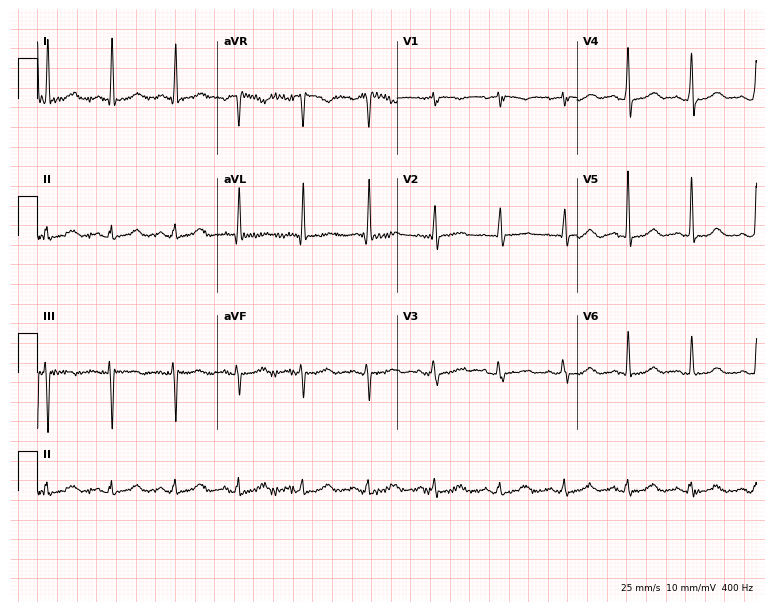
Resting 12-lead electrocardiogram. Patient: a woman, 68 years old. Read as a normal ECG.